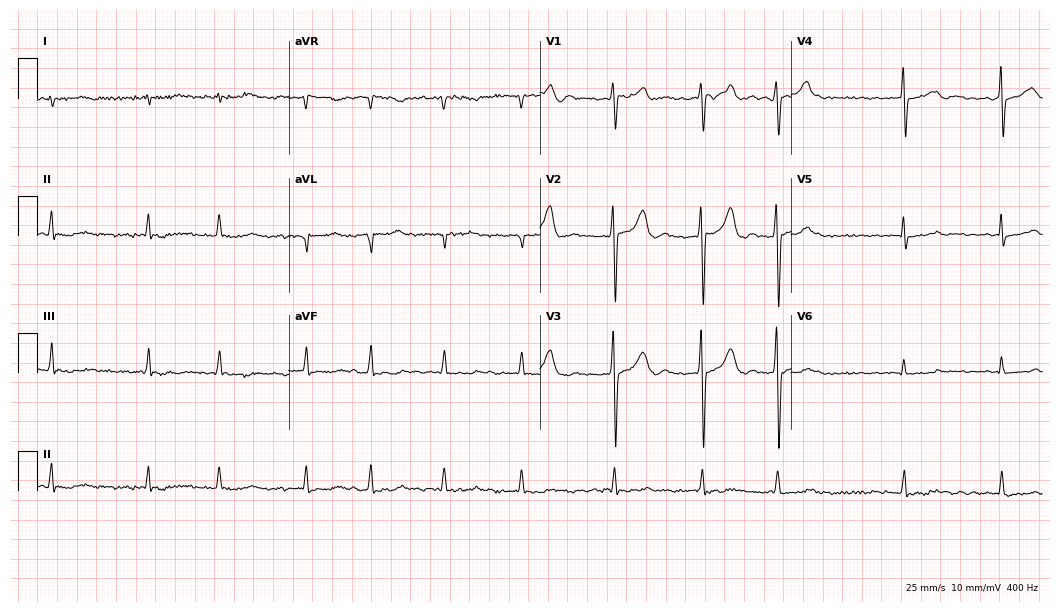
Electrocardiogram (10.2-second recording at 400 Hz), a male patient, 45 years old. Interpretation includes atrial fibrillation.